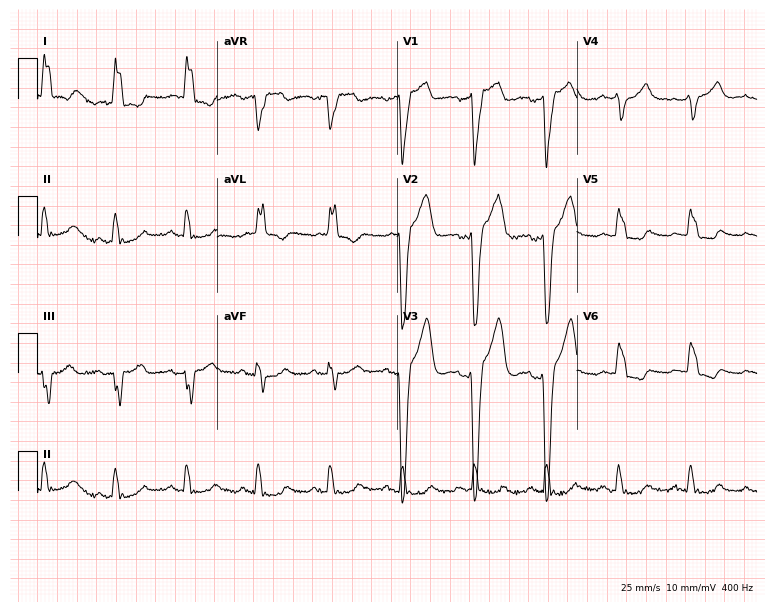
Resting 12-lead electrocardiogram. Patient: a female, 83 years old. None of these six findings is recorded: first-degree AV block, right bundle branch block, left bundle branch block, sinus bradycardia, atrial fibrillation, sinus tachycardia. Other findings, if any, are not listed.